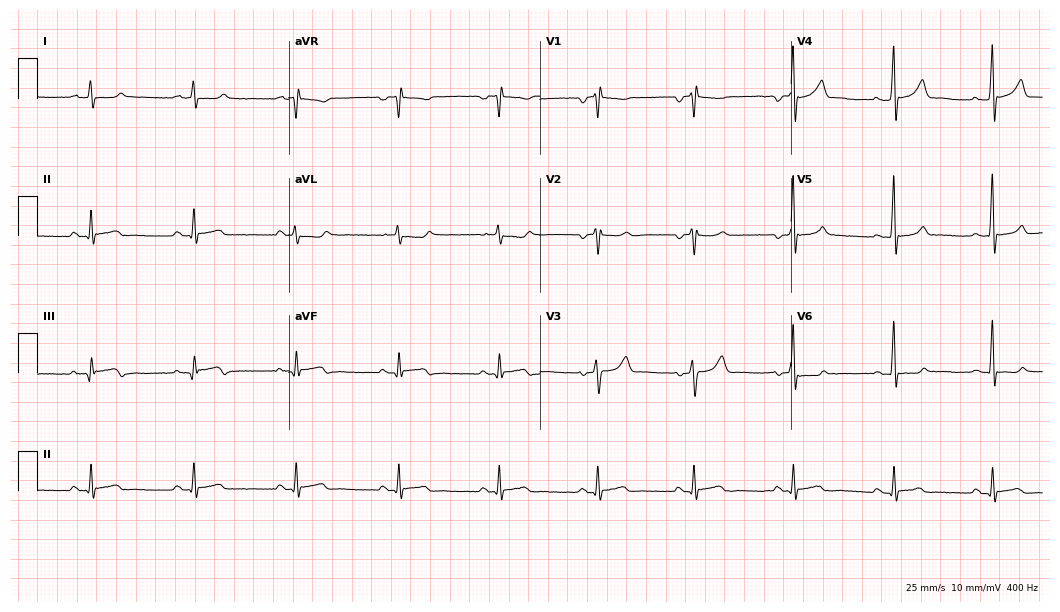
ECG — a 49-year-old man. Labelled as a normal ECG.